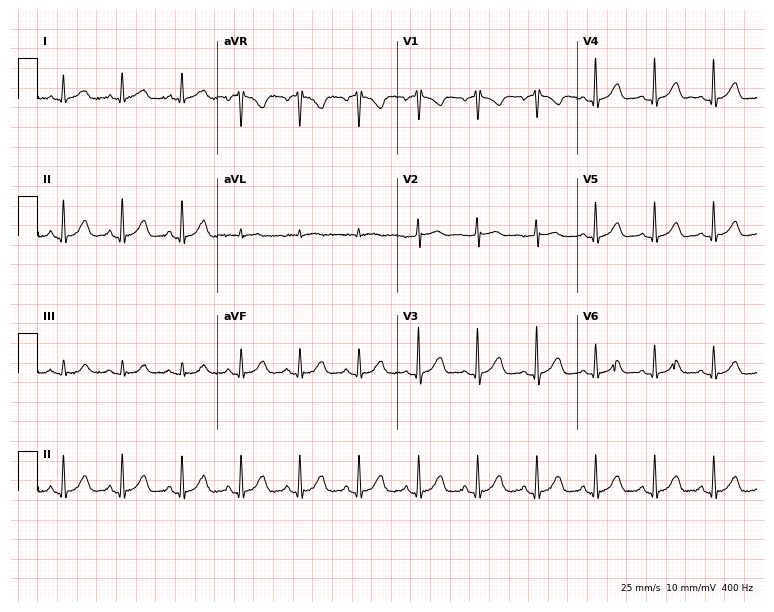
12-lead ECG from a 58-year-old woman. No first-degree AV block, right bundle branch block, left bundle branch block, sinus bradycardia, atrial fibrillation or sinus tachycardia recorded for this tracing.